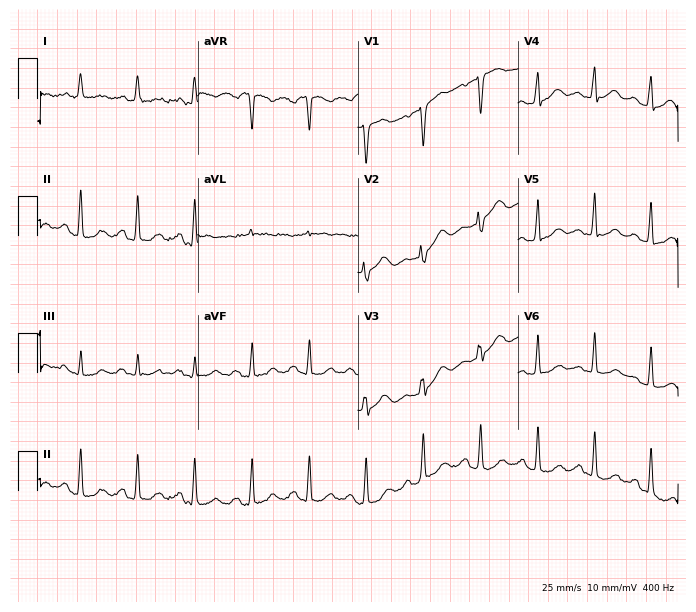
Electrocardiogram (6.5-second recording at 400 Hz), a female patient, 48 years old. Of the six screened findings (first-degree AV block, right bundle branch block (RBBB), left bundle branch block (LBBB), sinus bradycardia, atrial fibrillation (AF), sinus tachycardia), none is recorded. Only these six findings were labelled.